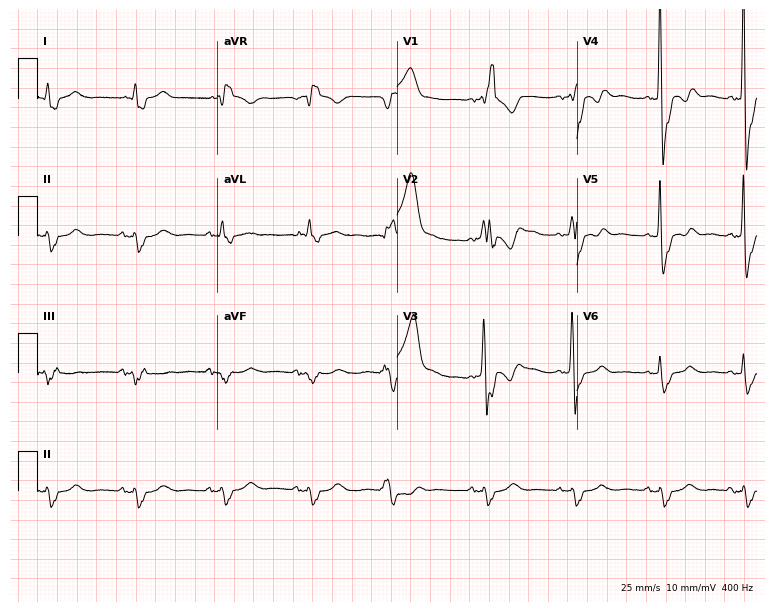
Standard 12-lead ECG recorded from an 83-year-old male patient (7.3-second recording at 400 Hz). The tracing shows right bundle branch block.